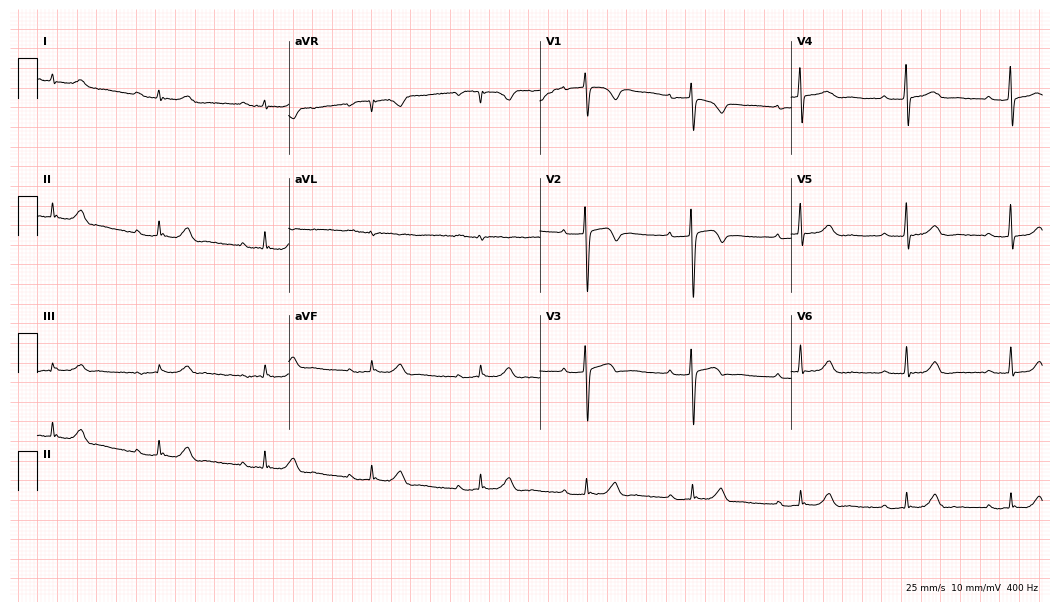
Standard 12-lead ECG recorded from a 78-year-old female. The tracing shows first-degree AV block.